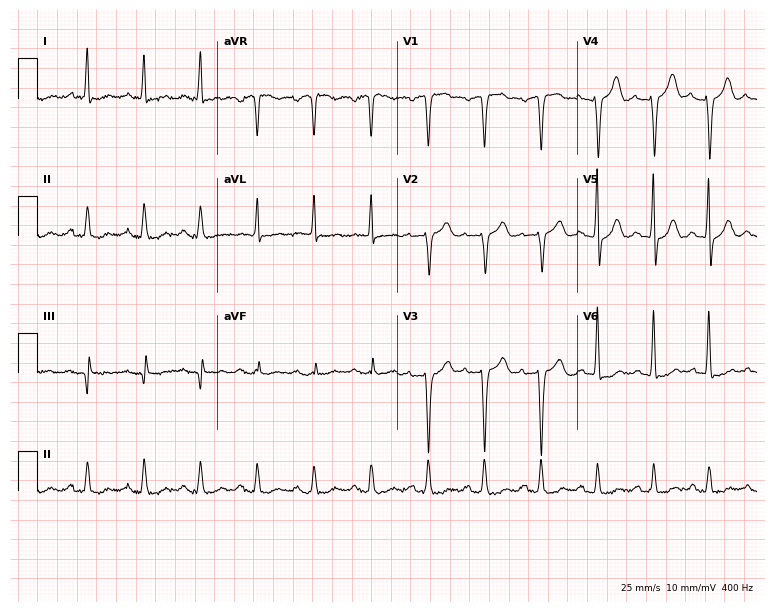
Resting 12-lead electrocardiogram (7.3-second recording at 400 Hz). Patient: a male, 81 years old. The tracing shows sinus tachycardia (a sinus rate of 100 beats per minute or more).